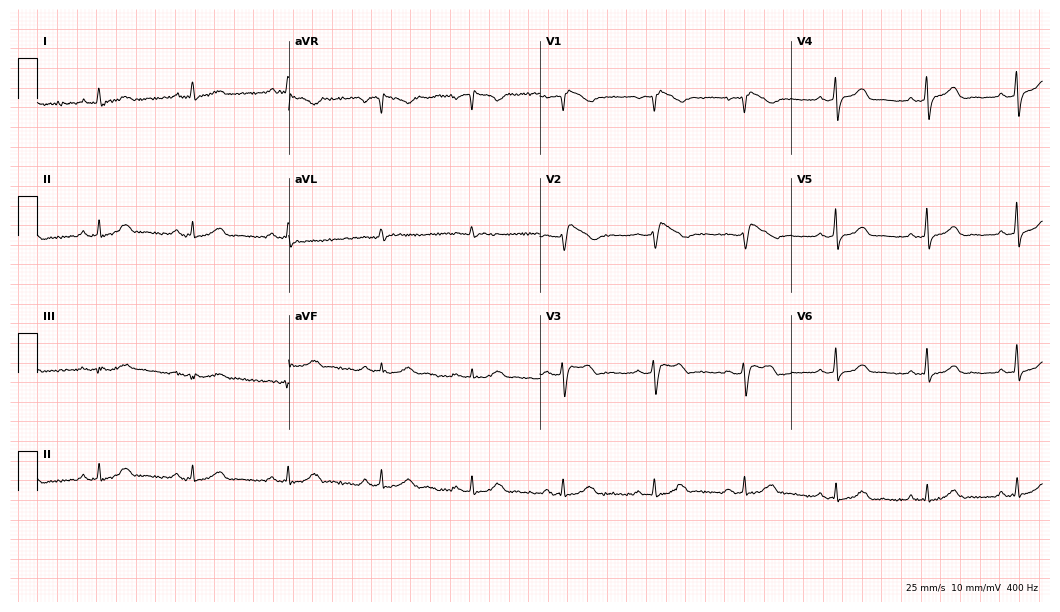
12-lead ECG from a 53-year-old woman. Screened for six findings — first-degree AV block, right bundle branch block (RBBB), left bundle branch block (LBBB), sinus bradycardia, atrial fibrillation (AF), sinus tachycardia — none is recorded.